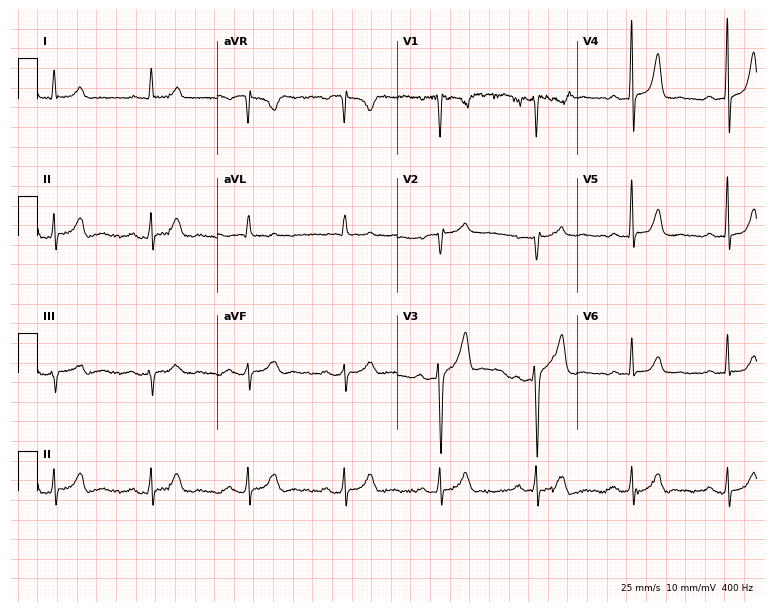
12-lead ECG from a female patient, 77 years old. No first-degree AV block, right bundle branch block (RBBB), left bundle branch block (LBBB), sinus bradycardia, atrial fibrillation (AF) or sinus tachycardia recorded for this tracing.